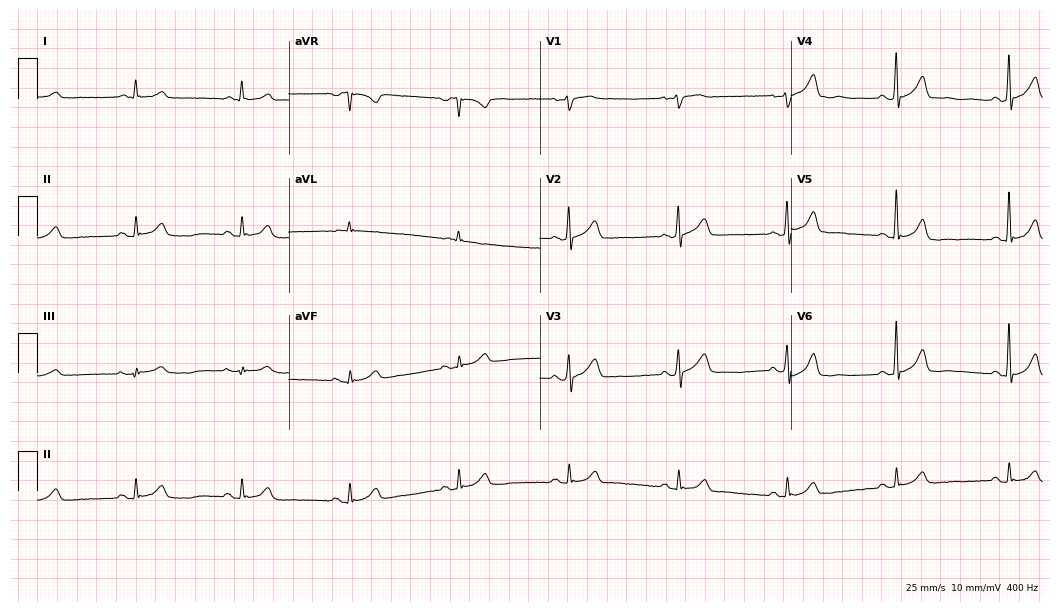
12-lead ECG (10.2-second recording at 400 Hz) from a 70-year-old male patient. Labelled as a normal ECG.